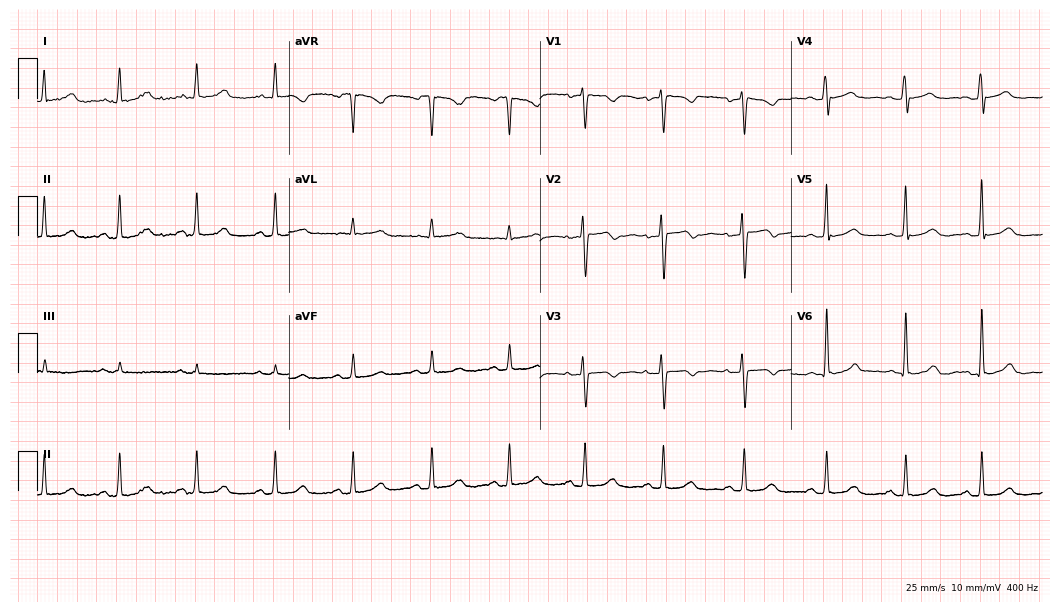
12-lead ECG (10.2-second recording at 400 Hz) from a man, 40 years old. Labelled as a normal ECG.